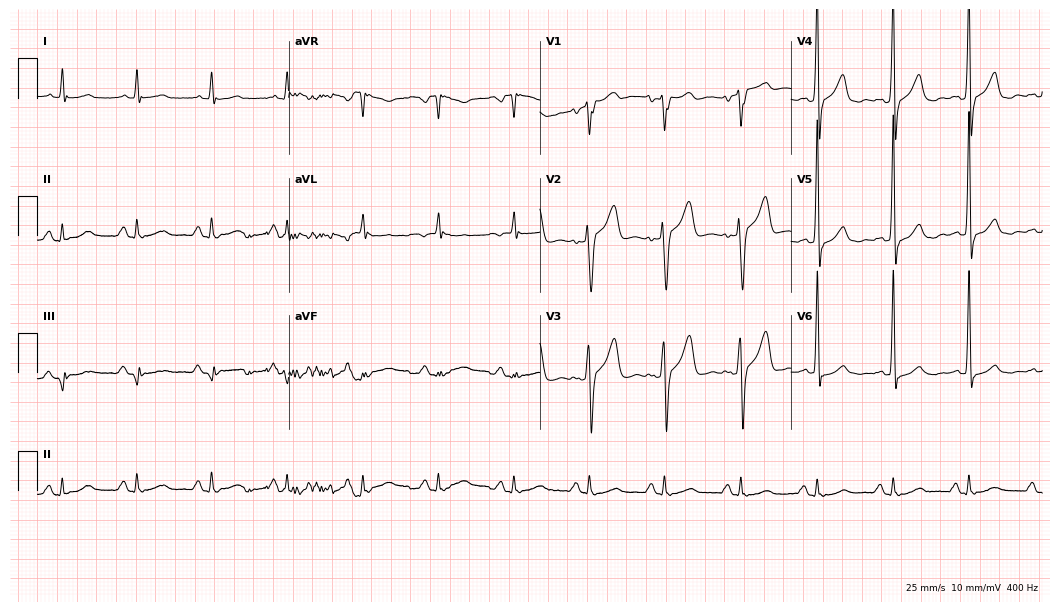
Resting 12-lead electrocardiogram (10.2-second recording at 400 Hz). Patient: a male, 58 years old. None of these six findings is recorded: first-degree AV block, right bundle branch block, left bundle branch block, sinus bradycardia, atrial fibrillation, sinus tachycardia.